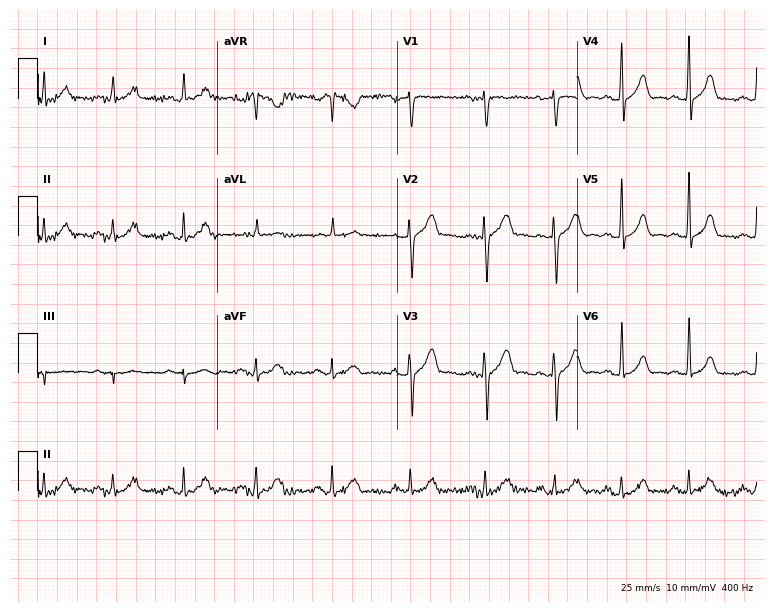
Electrocardiogram (7.3-second recording at 400 Hz), a 44-year-old male patient. Overall reading on record: normal ECG.